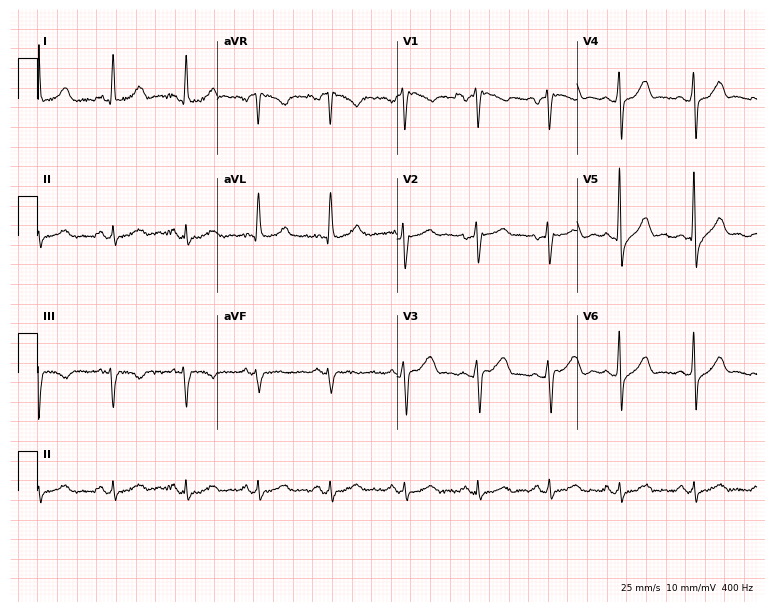
Resting 12-lead electrocardiogram (7.3-second recording at 400 Hz). Patient: a male, 40 years old. None of these six findings is recorded: first-degree AV block, right bundle branch block, left bundle branch block, sinus bradycardia, atrial fibrillation, sinus tachycardia. Findings outside these six are not listed.